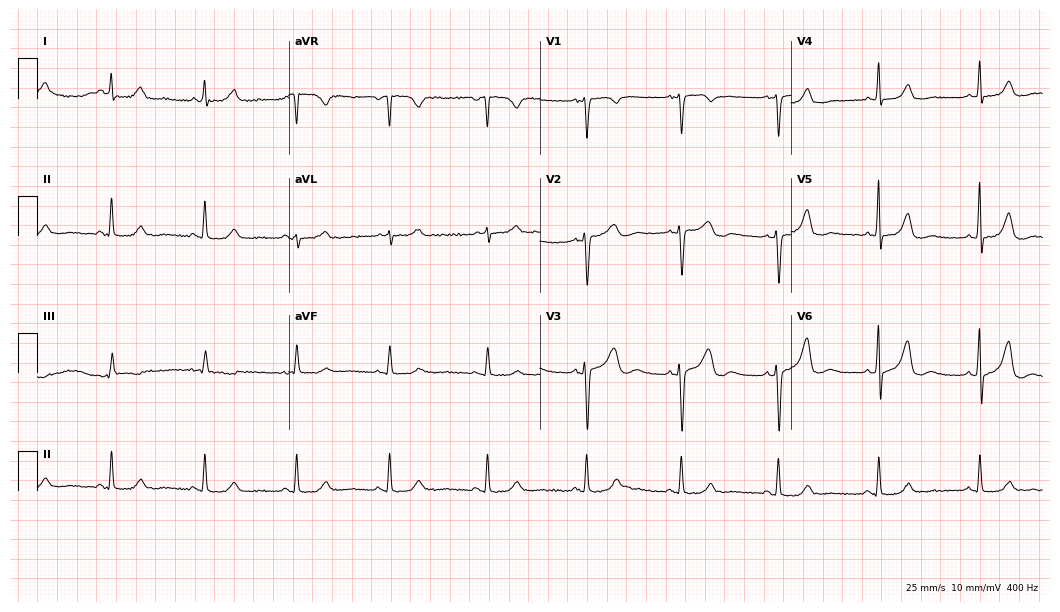
Resting 12-lead electrocardiogram (10.2-second recording at 400 Hz). Patient: a 41-year-old female. Read as a normal ECG.